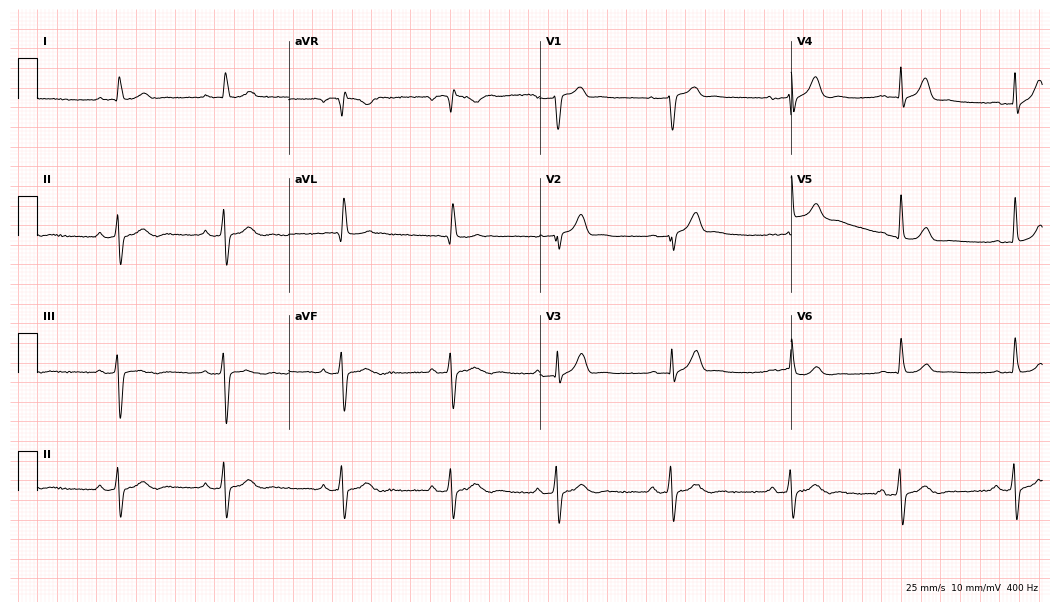
Standard 12-lead ECG recorded from a 77-year-old male. None of these six findings is recorded: first-degree AV block, right bundle branch block, left bundle branch block, sinus bradycardia, atrial fibrillation, sinus tachycardia.